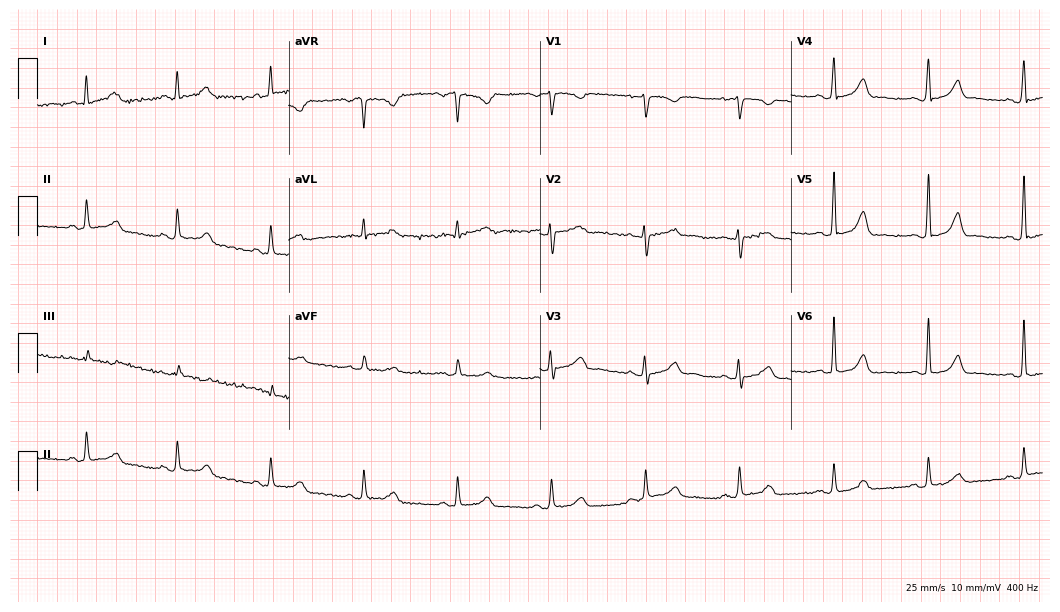
Electrocardiogram (10.2-second recording at 400 Hz), a female, 44 years old. Overall reading on record: normal ECG.